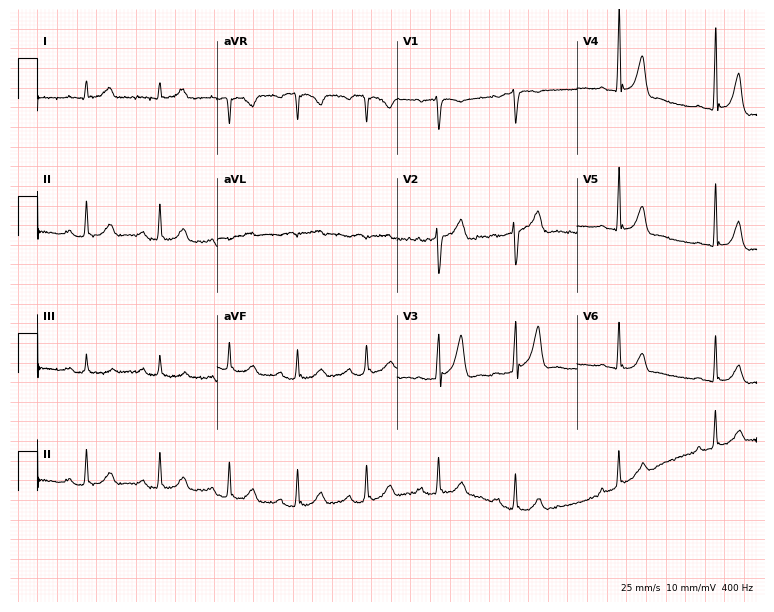
ECG — a 47-year-old man. Labelled as a normal ECG.